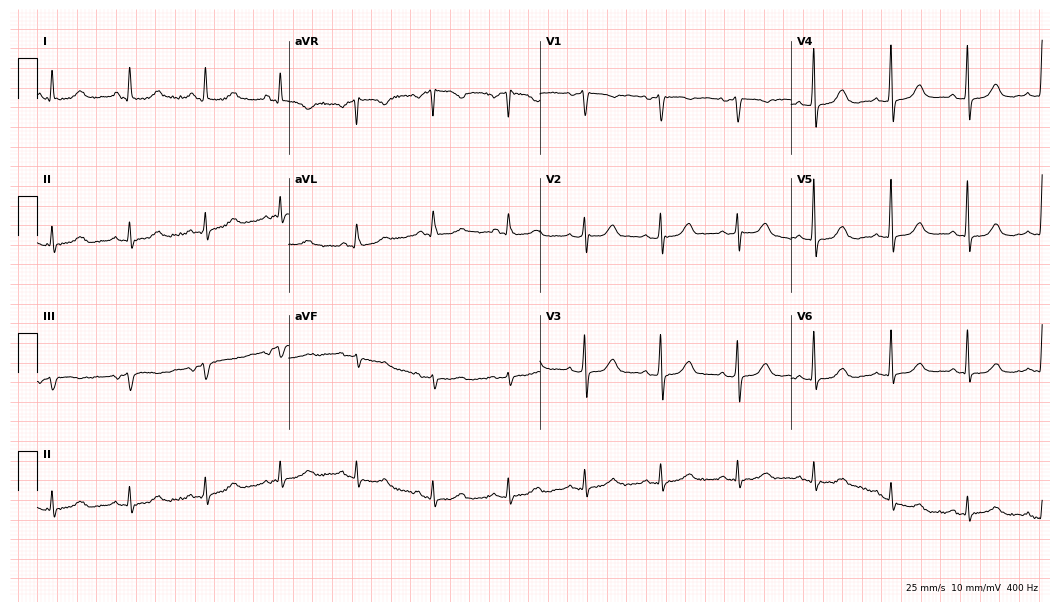
12-lead ECG from a female, 55 years old. Labelled as a normal ECG.